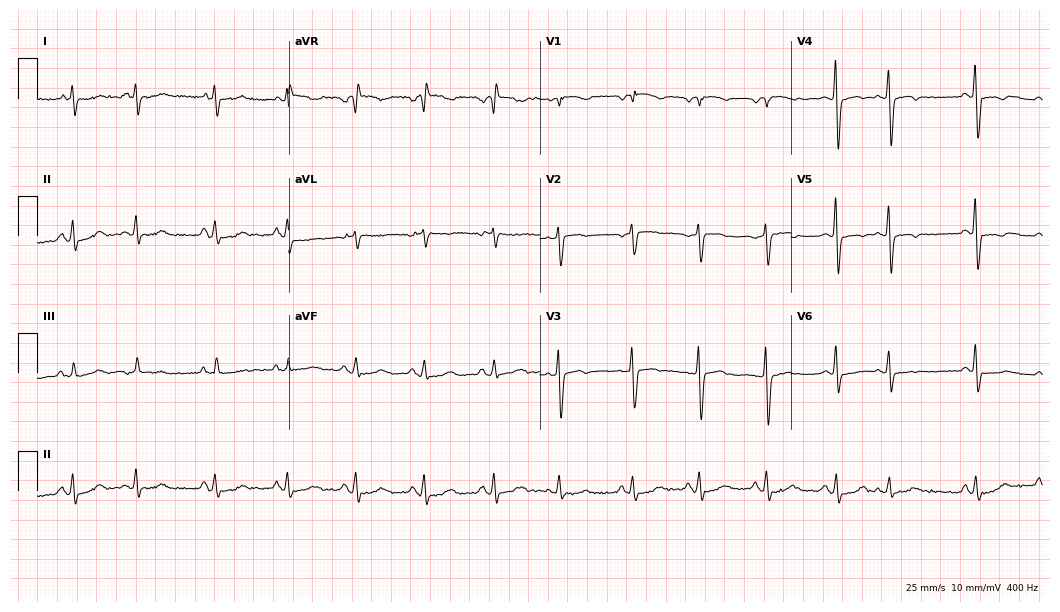
ECG — a woman, 79 years old. Screened for six findings — first-degree AV block, right bundle branch block (RBBB), left bundle branch block (LBBB), sinus bradycardia, atrial fibrillation (AF), sinus tachycardia — none is recorded. Findings outside these six are not listed.